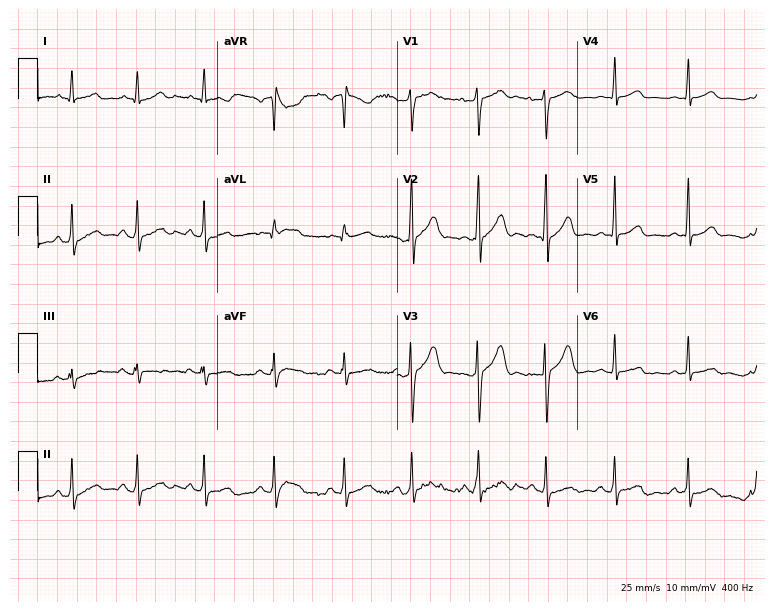
ECG — a 22-year-old male. Screened for six findings — first-degree AV block, right bundle branch block (RBBB), left bundle branch block (LBBB), sinus bradycardia, atrial fibrillation (AF), sinus tachycardia — none is recorded.